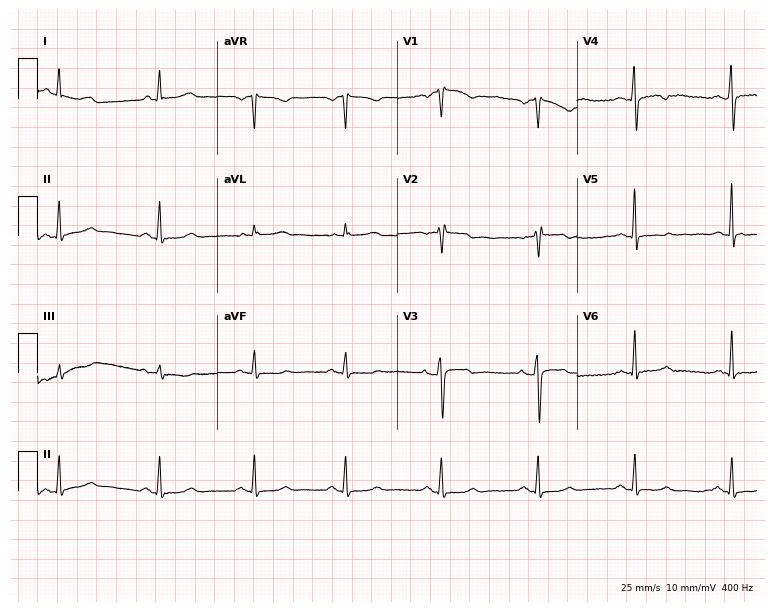
ECG — a woman, 67 years old. Screened for six findings — first-degree AV block, right bundle branch block (RBBB), left bundle branch block (LBBB), sinus bradycardia, atrial fibrillation (AF), sinus tachycardia — none is recorded. Other findings, if any, are not listed.